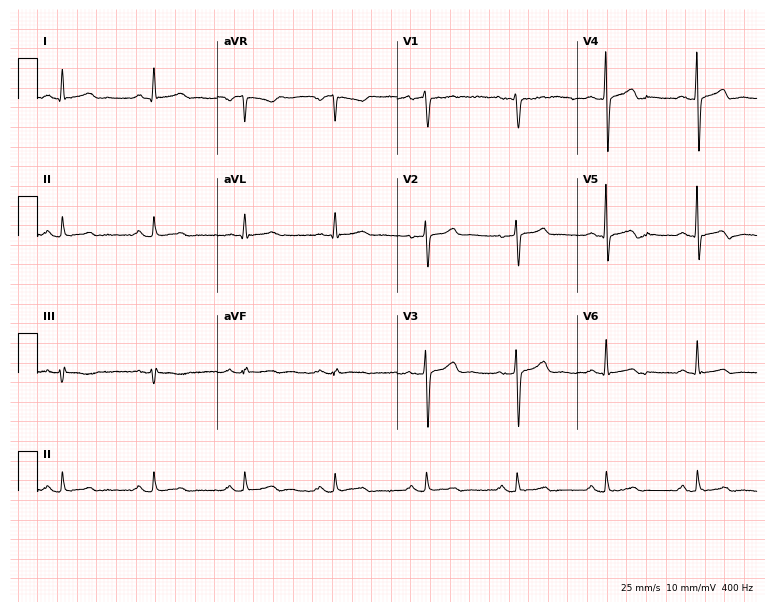
ECG — a female, 53 years old. Labelled as a normal ECG.